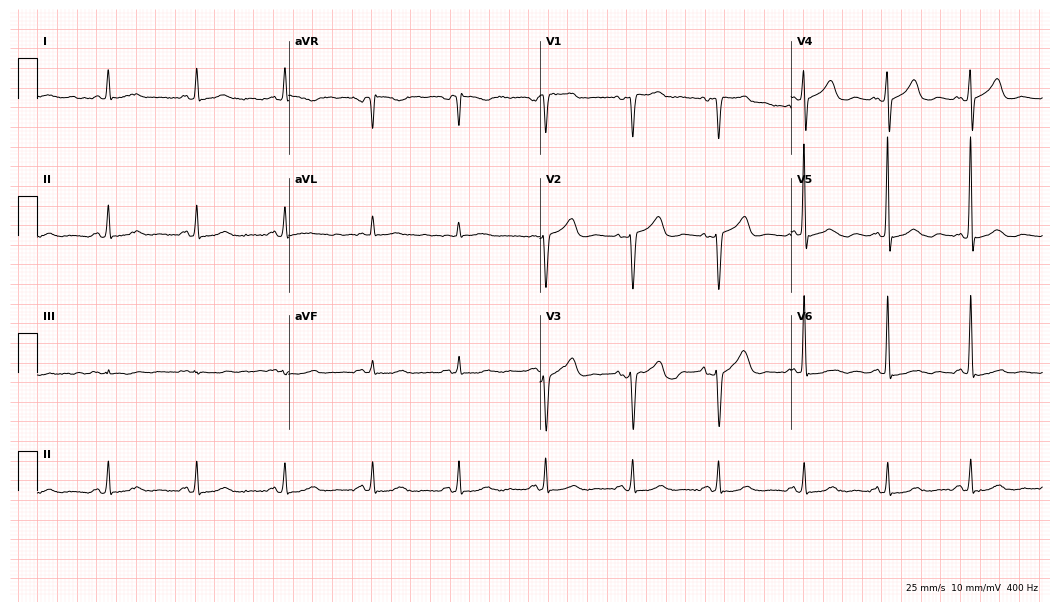
12-lead ECG (10.2-second recording at 400 Hz) from an 84-year-old female patient. Screened for six findings — first-degree AV block, right bundle branch block, left bundle branch block, sinus bradycardia, atrial fibrillation, sinus tachycardia — none is recorded.